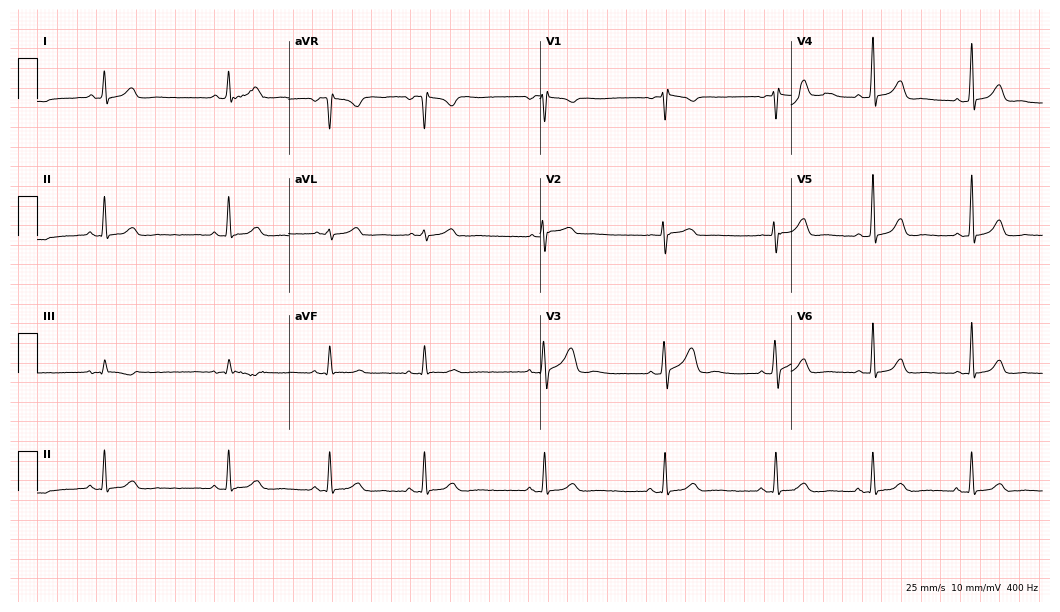
Resting 12-lead electrocardiogram. Patient: a female, 23 years old. Read as a normal ECG.